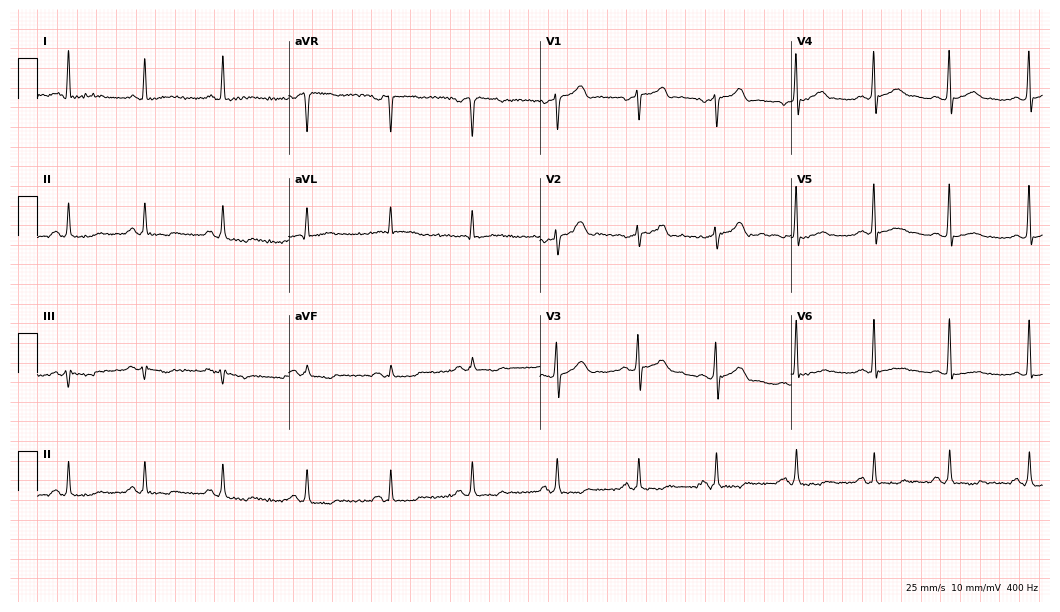
Standard 12-lead ECG recorded from a 31-year-old female patient. None of these six findings is recorded: first-degree AV block, right bundle branch block, left bundle branch block, sinus bradycardia, atrial fibrillation, sinus tachycardia.